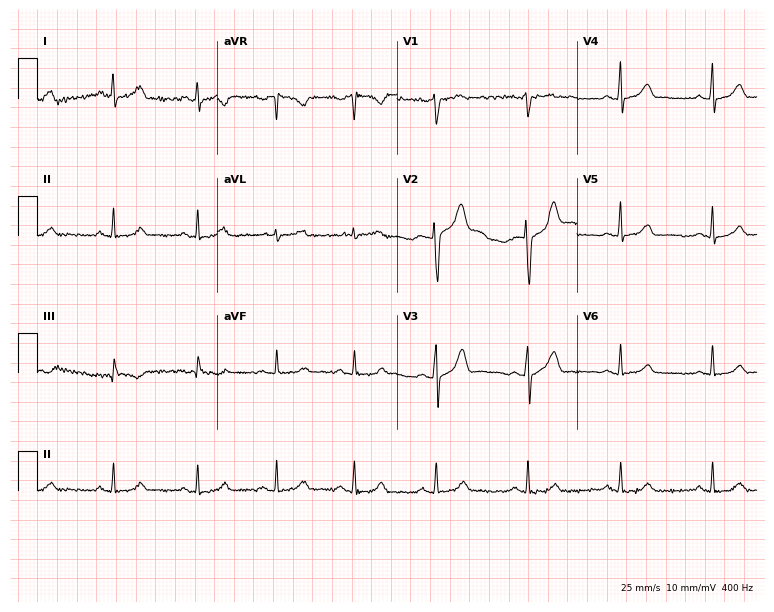
Standard 12-lead ECG recorded from a 34-year-old female (7.3-second recording at 400 Hz). Read as a normal ECG.